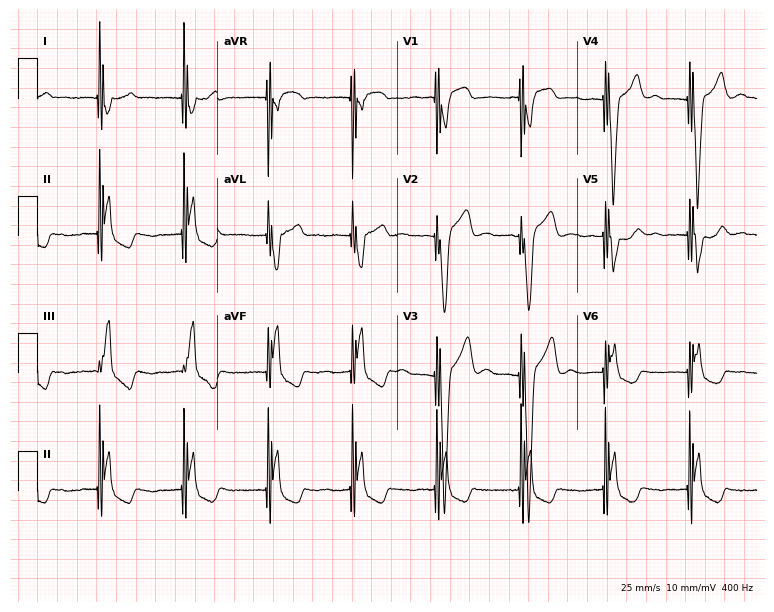
ECG (7.3-second recording at 400 Hz) — a male patient, 75 years old. Screened for six findings — first-degree AV block, right bundle branch block, left bundle branch block, sinus bradycardia, atrial fibrillation, sinus tachycardia — none is recorded. Other findings, if any, are not listed.